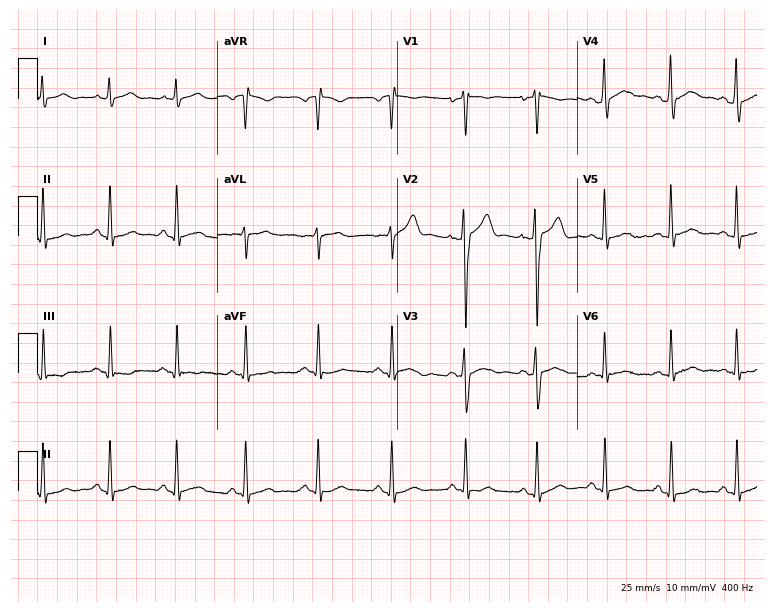
12-lead ECG (7.3-second recording at 400 Hz) from a 26-year-old man. Screened for six findings — first-degree AV block, right bundle branch block (RBBB), left bundle branch block (LBBB), sinus bradycardia, atrial fibrillation (AF), sinus tachycardia — none is recorded.